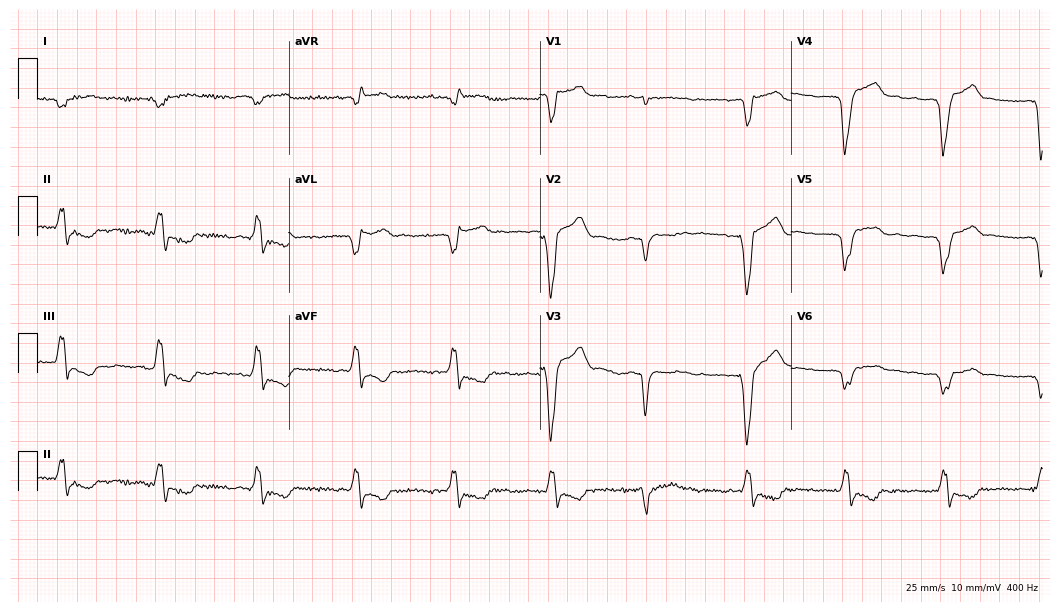
12-lead ECG from a 70-year-old female. No first-degree AV block, right bundle branch block, left bundle branch block, sinus bradycardia, atrial fibrillation or sinus tachycardia recorded for this tracing.